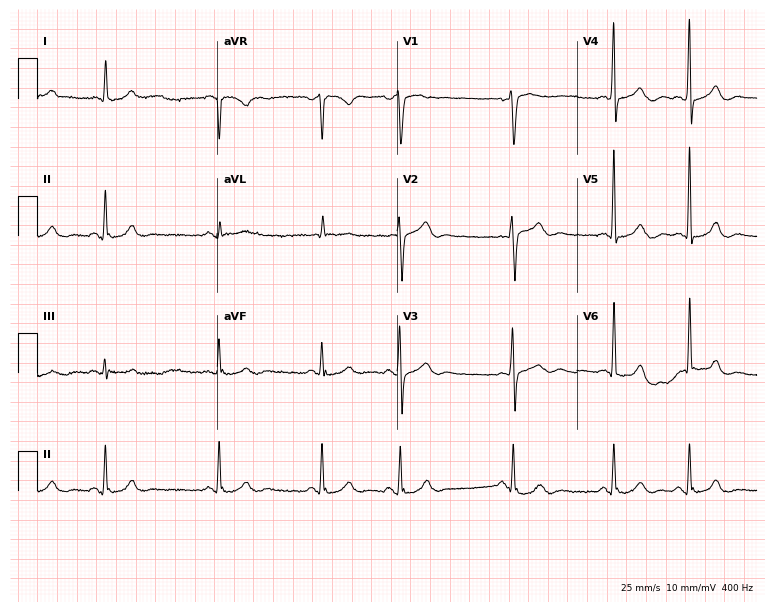
ECG (7.3-second recording at 400 Hz) — a man, 74 years old. Labelled as a normal ECG.